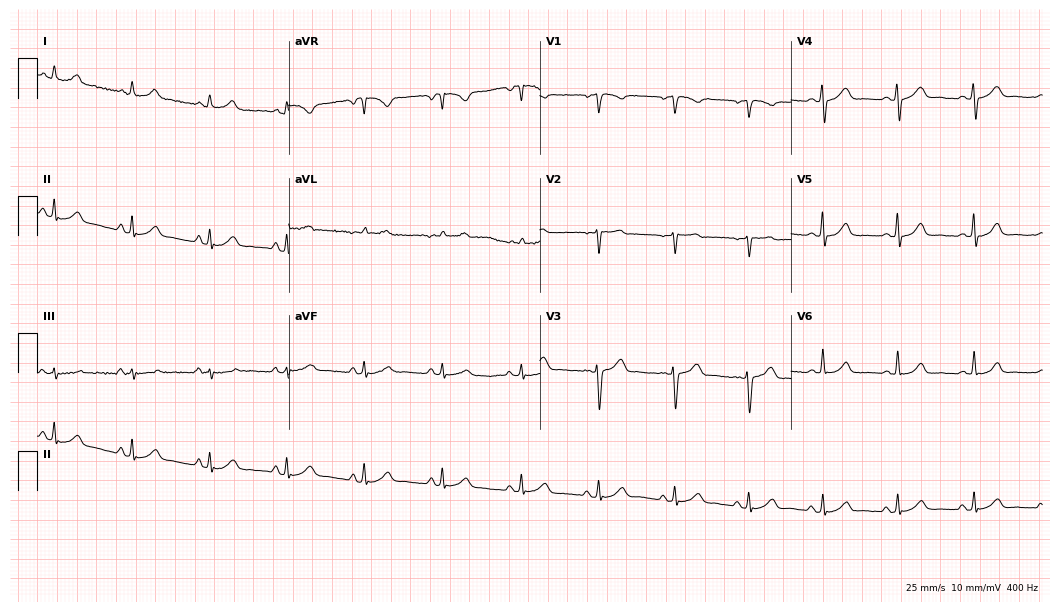
ECG (10.2-second recording at 400 Hz) — a 28-year-old female. Labelled as a normal ECG.